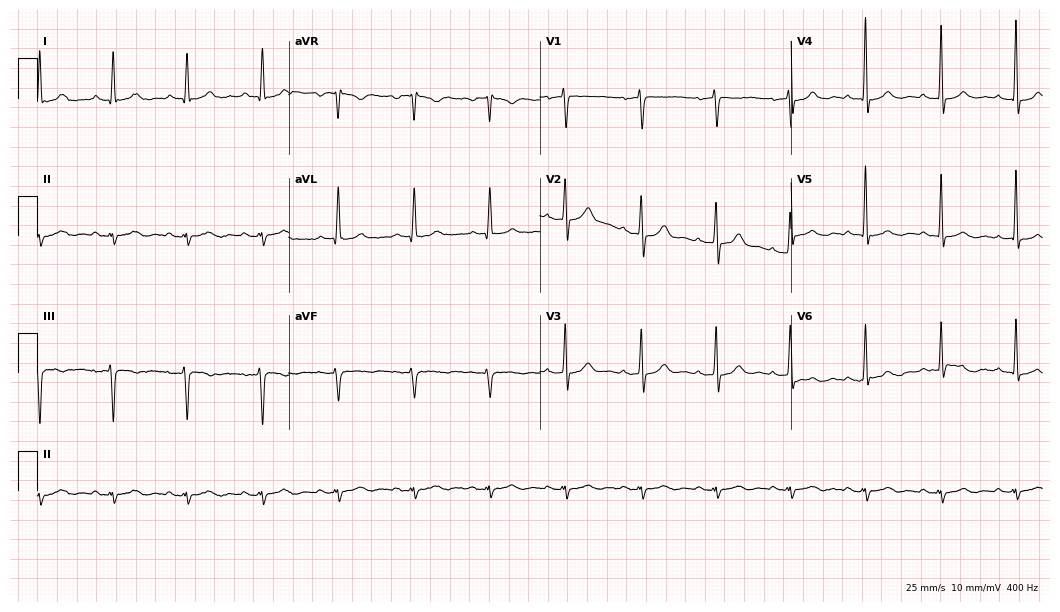
Electrocardiogram (10.2-second recording at 400 Hz), a male patient, 58 years old. Of the six screened findings (first-degree AV block, right bundle branch block (RBBB), left bundle branch block (LBBB), sinus bradycardia, atrial fibrillation (AF), sinus tachycardia), none is recorded.